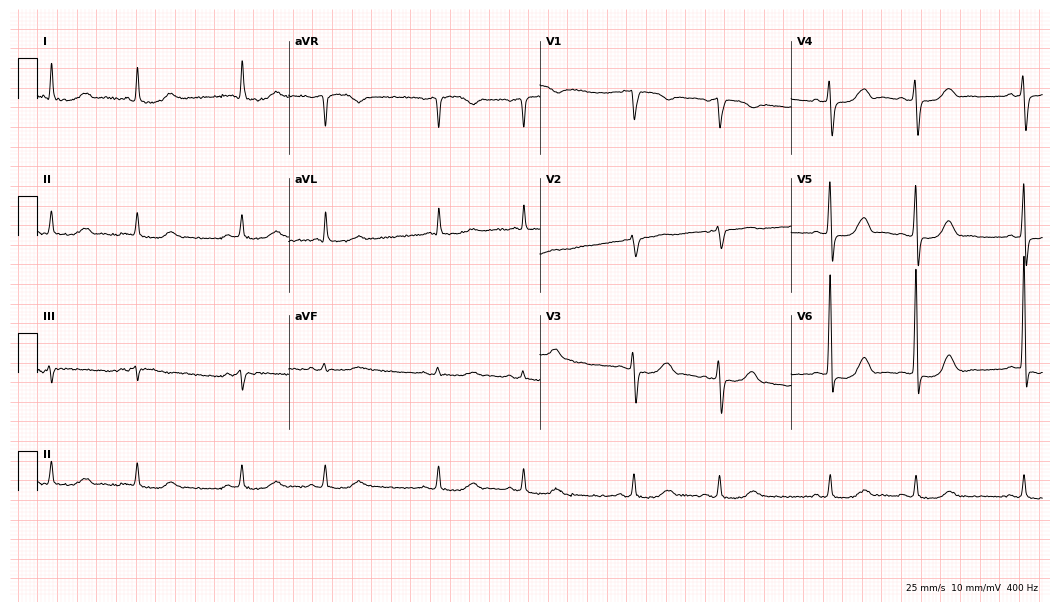
Electrocardiogram, a 77-year-old male patient. Overall reading on record: normal ECG.